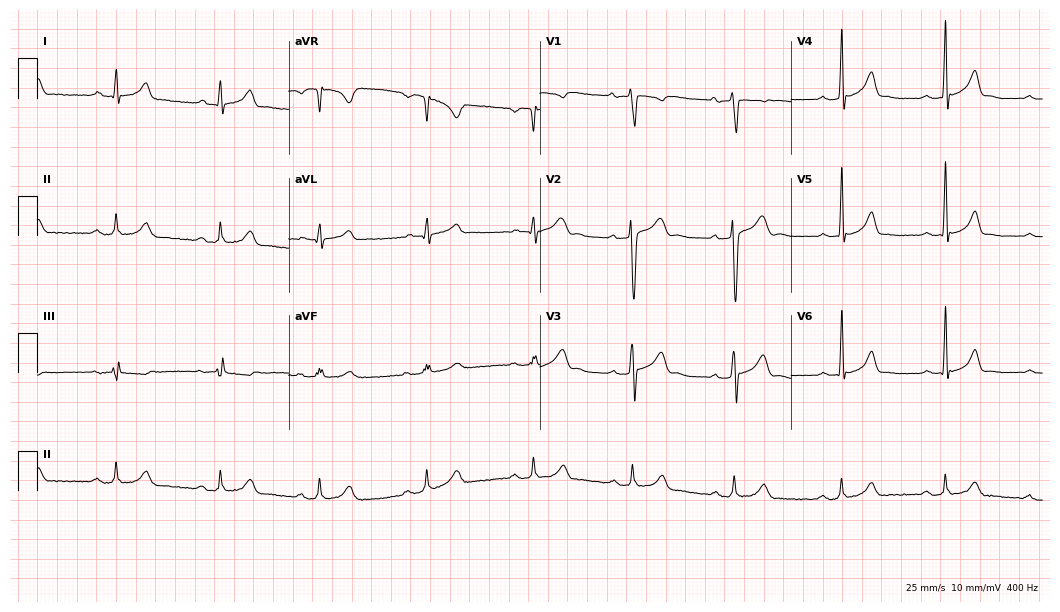
Standard 12-lead ECG recorded from a 25-year-old man (10.2-second recording at 400 Hz). Read as a normal ECG.